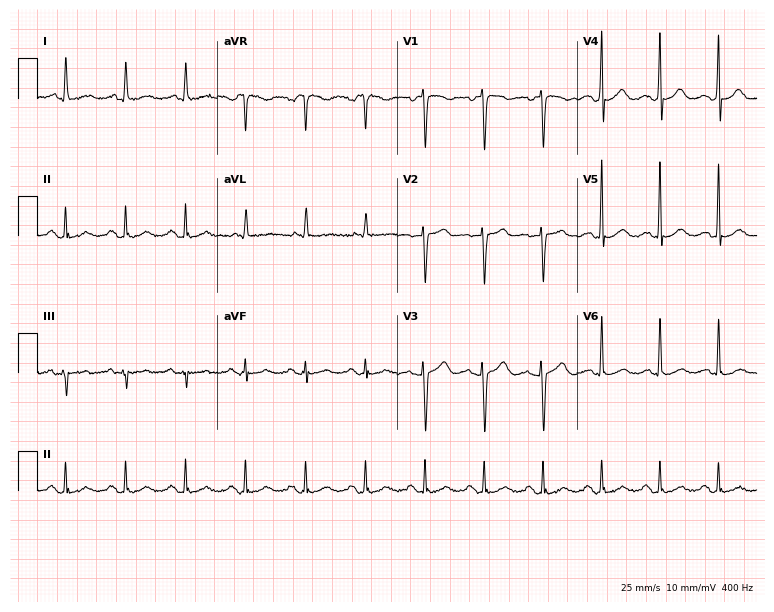
Standard 12-lead ECG recorded from a 70-year-old woman (7.3-second recording at 400 Hz). None of these six findings is recorded: first-degree AV block, right bundle branch block (RBBB), left bundle branch block (LBBB), sinus bradycardia, atrial fibrillation (AF), sinus tachycardia. Only these six findings were labelled.